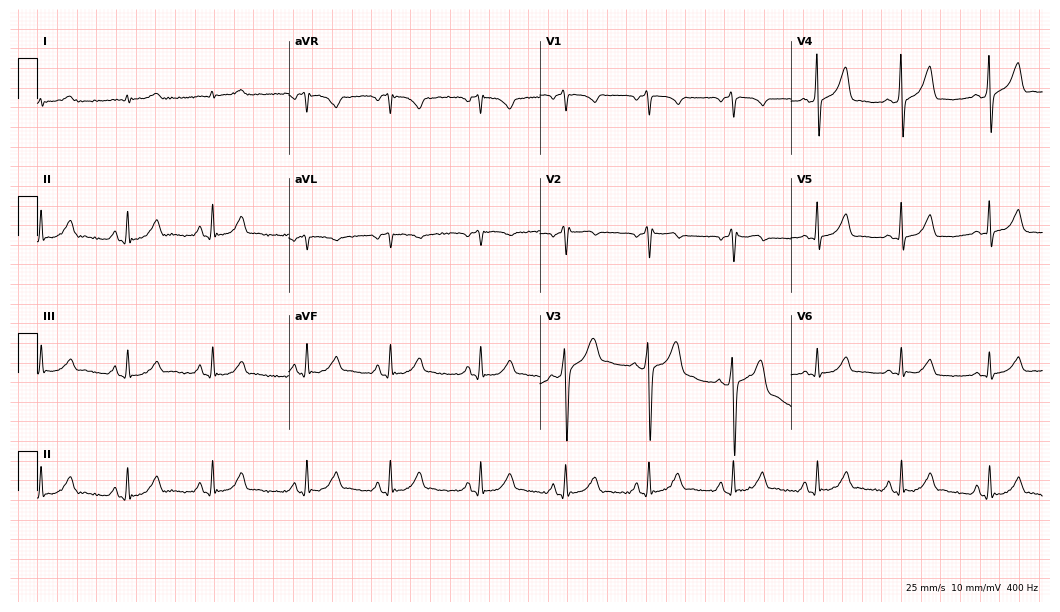
12-lead ECG from a man, 49 years old. Screened for six findings — first-degree AV block, right bundle branch block (RBBB), left bundle branch block (LBBB), sinus bradycardia, atrial fibrillation (AF), sinus tachycardia — none is recorded.